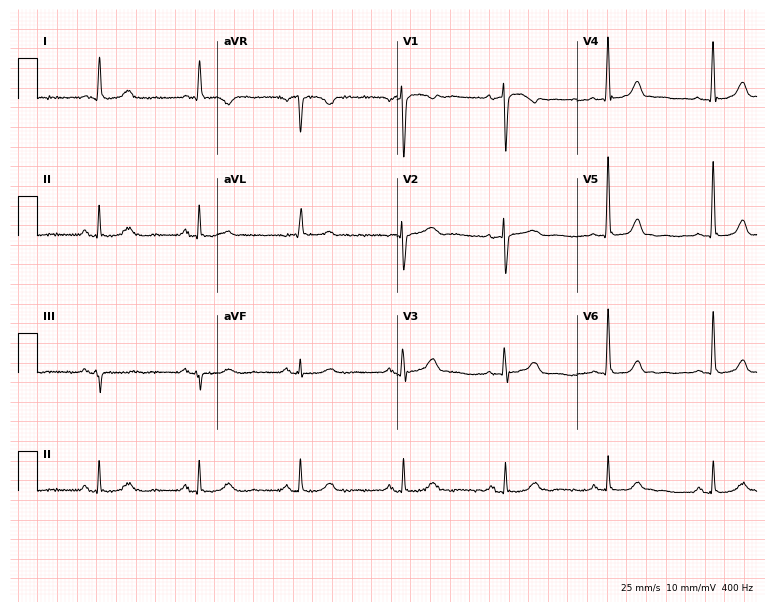
12-lead ECG from a female, 83 years old. Recorded interpretation: within normal limits.